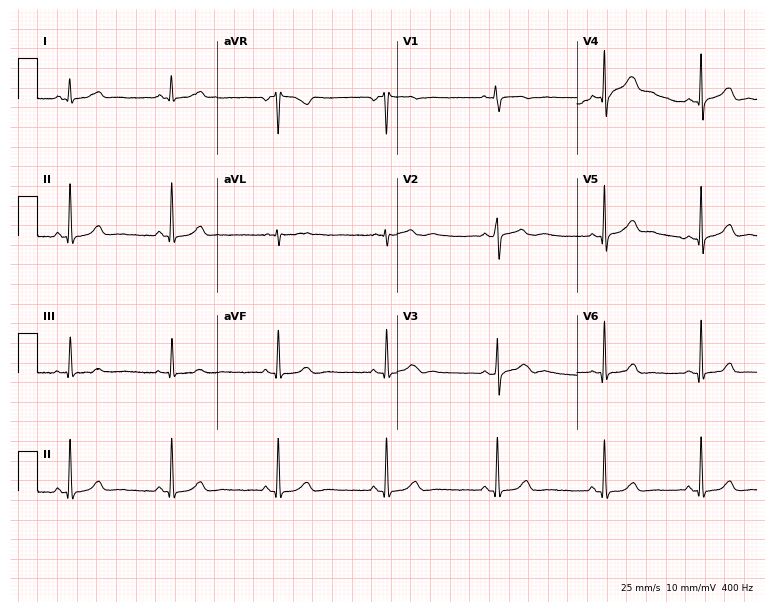
Standard 12-lead ECG recorded from a female patient, 24 years old (7.3-second recording at 400 Hz). Read as a normal ECG.